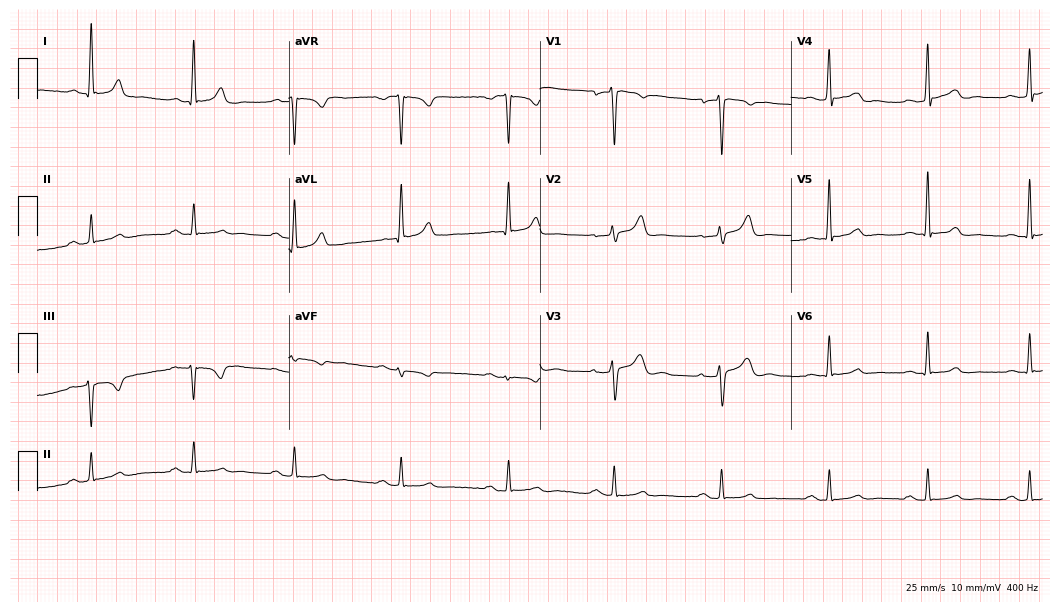
Resting 12-lead electrocardiogram. Patient: a man, 38 years old. Read as a normal ECG.